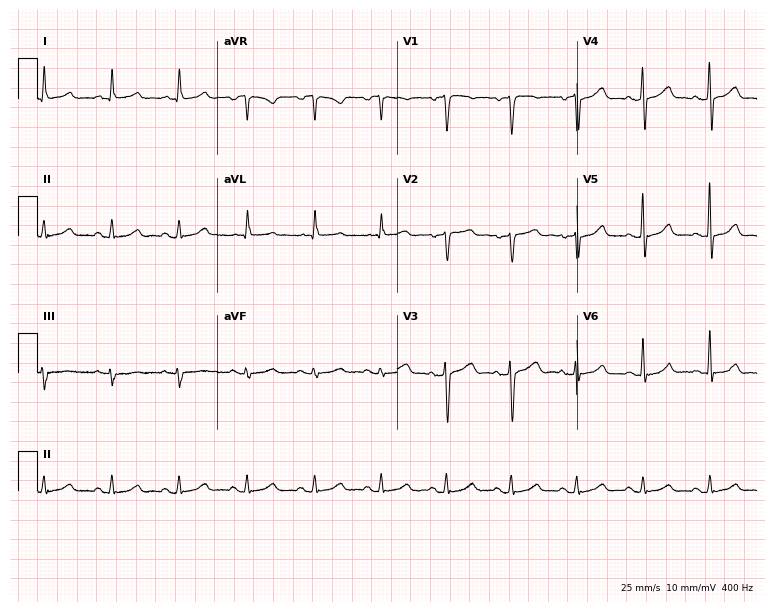
Electrocardiogram (7.3-second recording at 400 Hz), a female patient, 38 years old. Overall reading on record: normal ECG.